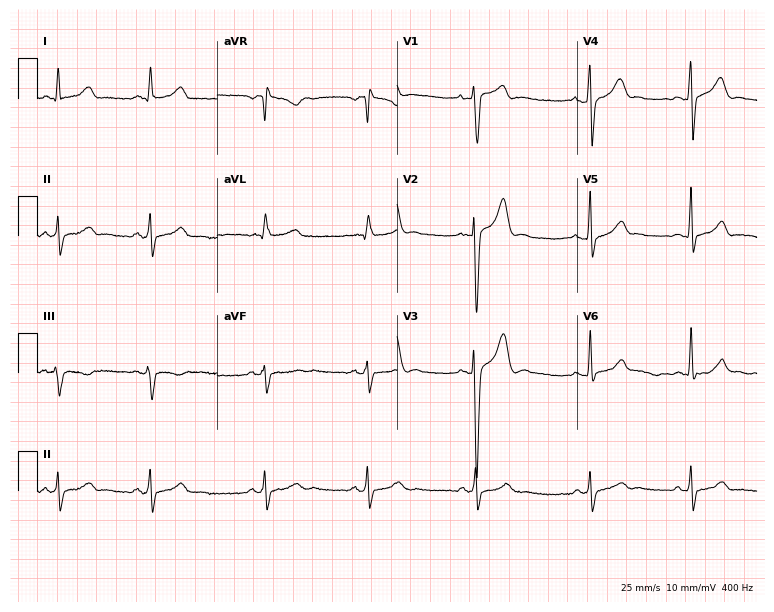
Standard 12-lead ECG recorded from a 34-year-old man. Read as a normal ECG.